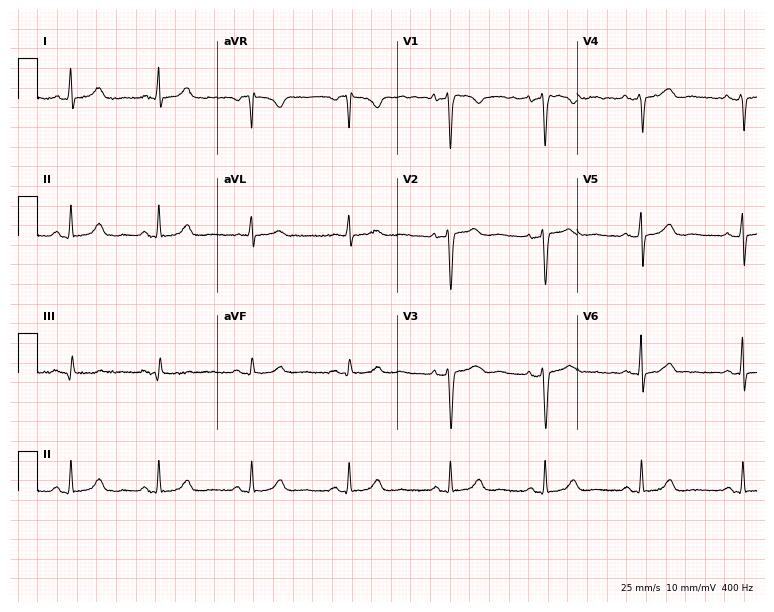
12-lead ECG from a female, 46 years old. Screened for six findings — first-degree AV block, right bundle branch block, left bundle branch block, sinus bradycardia, atrial fibrillation, sinus tachycardia — none is recorded. Other findings, if any, are not listed.